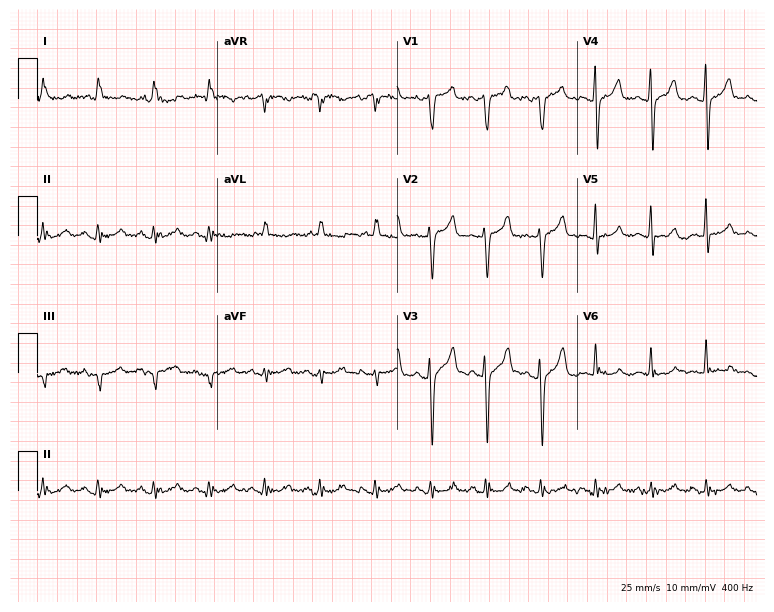
Resting 12-lead electrocardiogram. Patient: a 74-year-old man. The tracing shows sinus tachycardia (a sinus rate of 100 beats per minute or more).